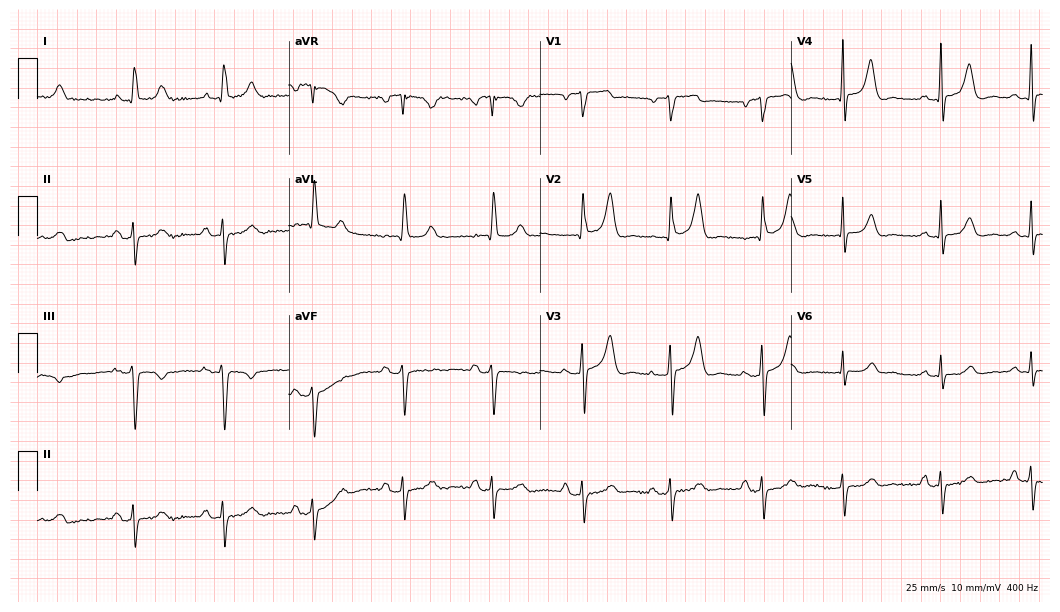
12-lead ECG (10.2-second recording at 400 Hz) from a female, 73 years old. Screened for six findings — first-degree AV block, right bundle branch block, left bundle branch block, sinus bradycardia, atrial fibrillation, sinus tachycardia — none is recorded.